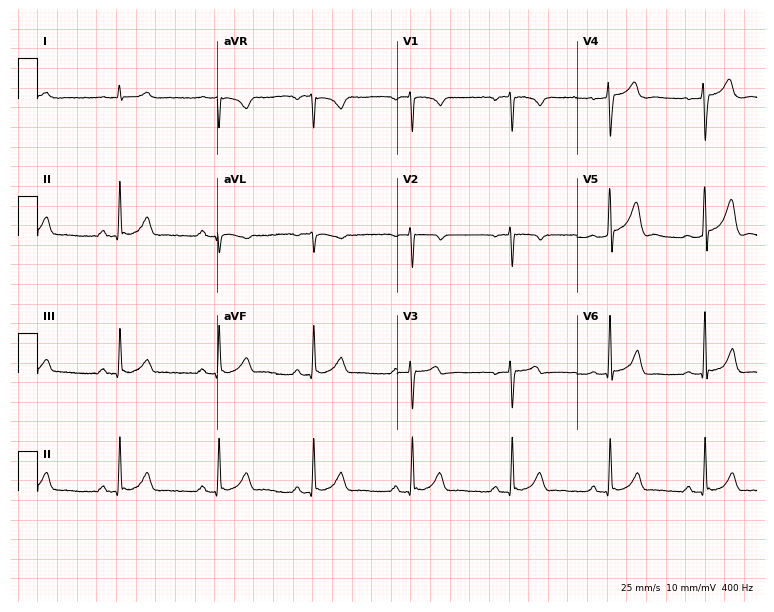
Resting 12-lead electrocardiogram. Patient: a male, 31 years old. None of these six findings is recorded: first-degree AV block, right bundle branch block, left bundle branch block, sinus bradycardia, atrial fibrillation, sinus tachycardia.